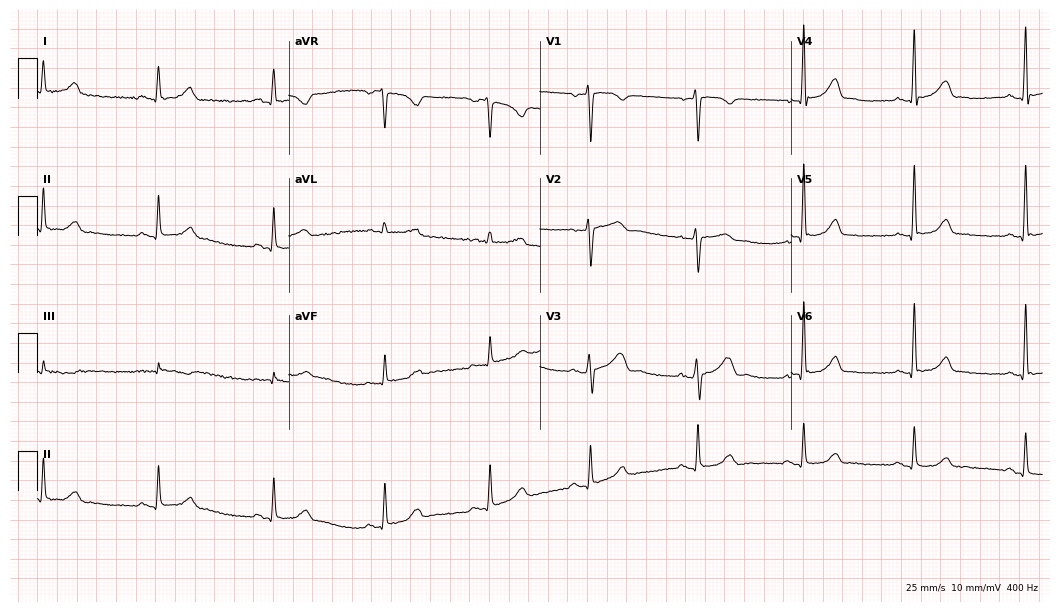
12-lead ECG from a 46-year-old female patient (10.2-second recording at 400 Hz). Recorded interpretation: within normal limits.